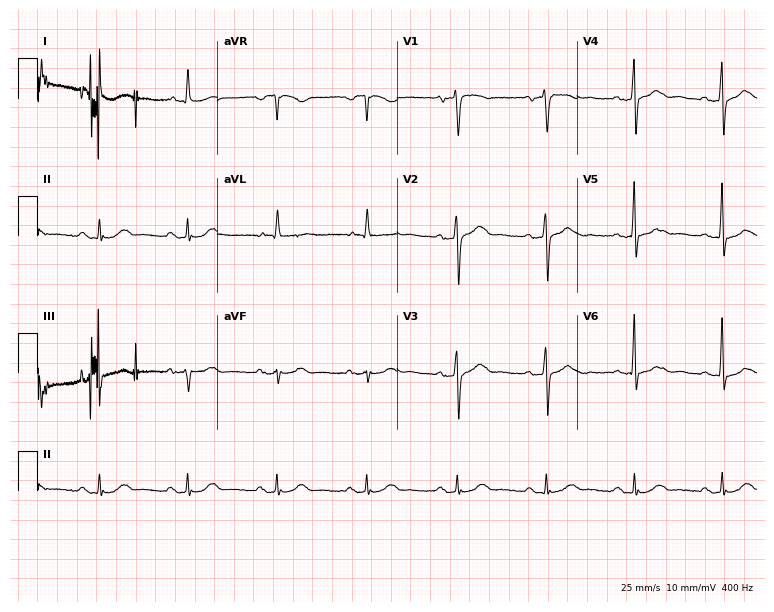
12-lead ECG from an 85-year-old male patient. Recorded interpretation: within normal limits.